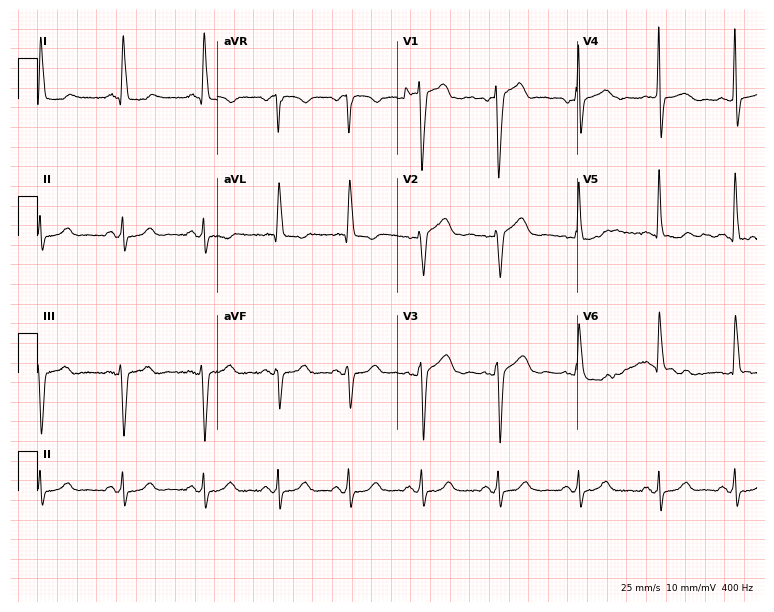
12-lead ECG (7.3-second recording at 400 Hz) from a 55-year-old female. Screened for six findings — first-degree AV block, right bundle branch block, left bundle branch block, sinus bradycardia, atrial fibrillation, sinus tachycardia — none is recorded.